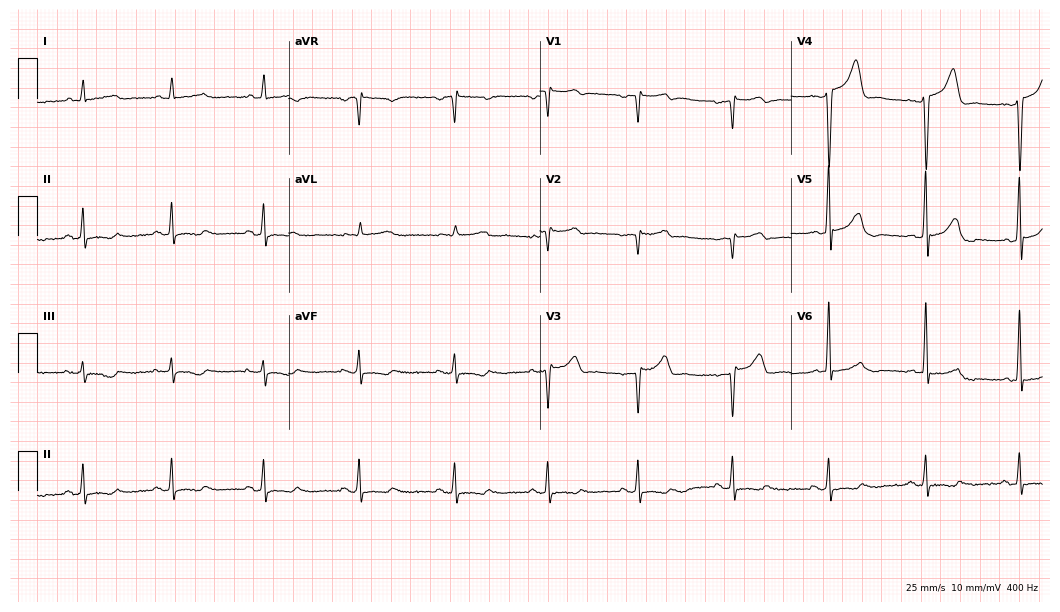
Standard 12-lead ECG recorded from a 61-year-old man (10.2-second recording at 400 Hz). Read as a normal ECG.